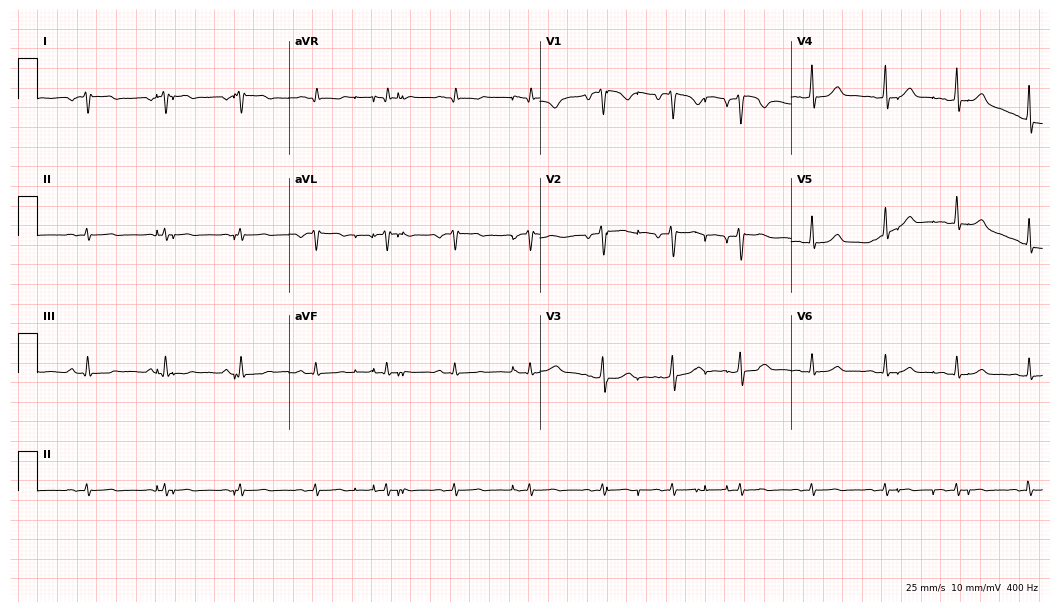
12-lead ECG (10.2-second recording at 400 Hz) from a 31-year-old female patient. Screened for six findings — first-degree AV block, right bundle branch block, left bundle branch block, sinus bradycardia, atrial fibrillation, sinus tachycardia — none is recorded. Findings outside these six are not listed.